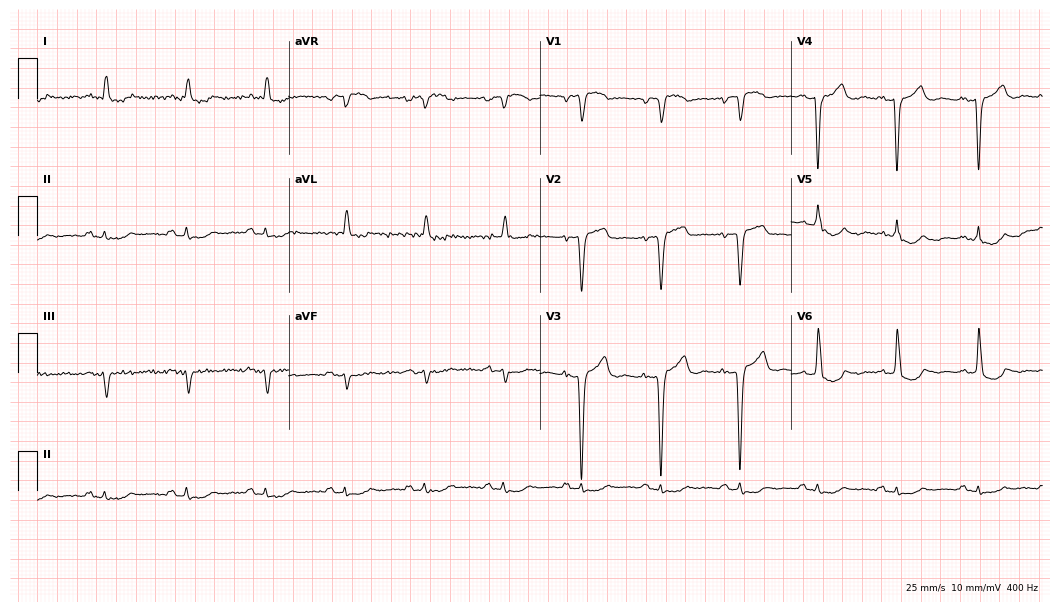
12-lead ECG from an 82-year-old female. Screened for six findings — first-degree AV block, right bundle branch block, left bundle branch block, sinus bradycardia, atrial fibrillation, sinus tachycardia — none is recorded.